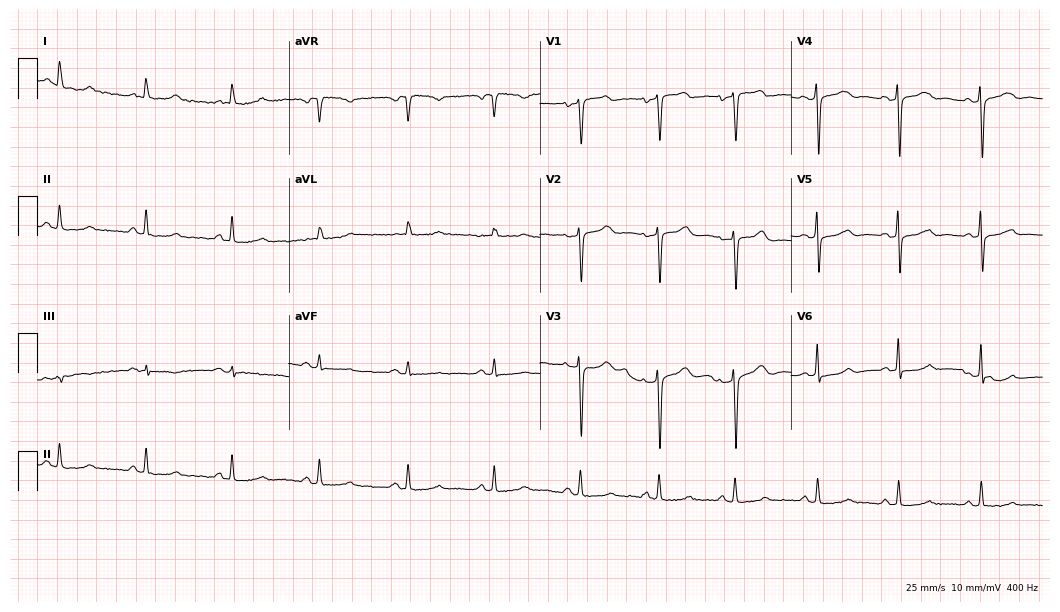
ECG — a 52-year-old female patient. Labelled as a normal ECG.